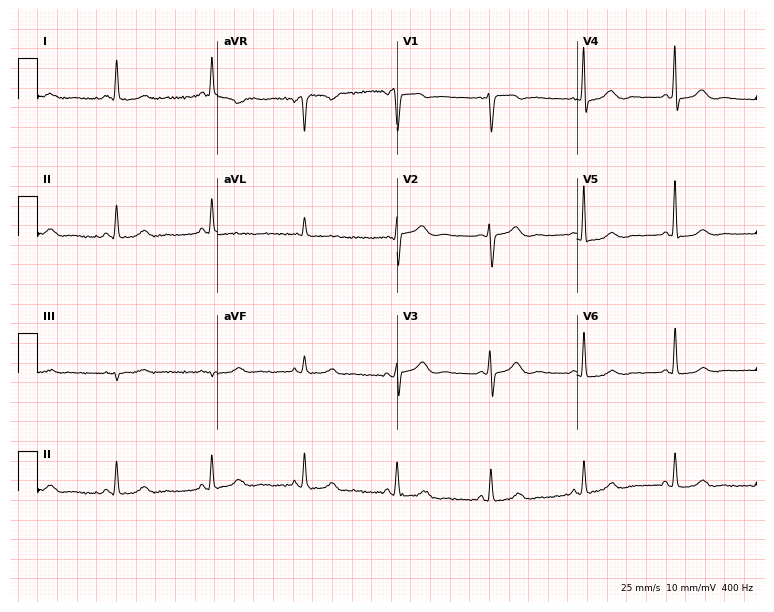
Resting 12-lead electrocardiogram. Patient: a woman, 83 years old. None of these six findings is recorded: first-degree AV block, right bundle branch block (RBBB), left bundle branch block (LBBB), sinus bradycardia, atrial fibrillation (AF), sinus tachycardia. Findings outside these six are not listed.